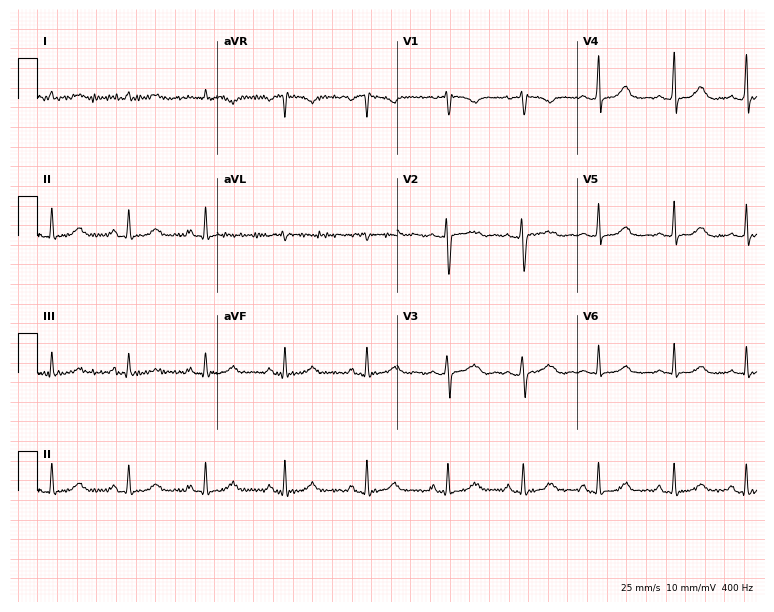
12-lead ECG from a female, 32 years old. Recorded interpretation: within normal limits.